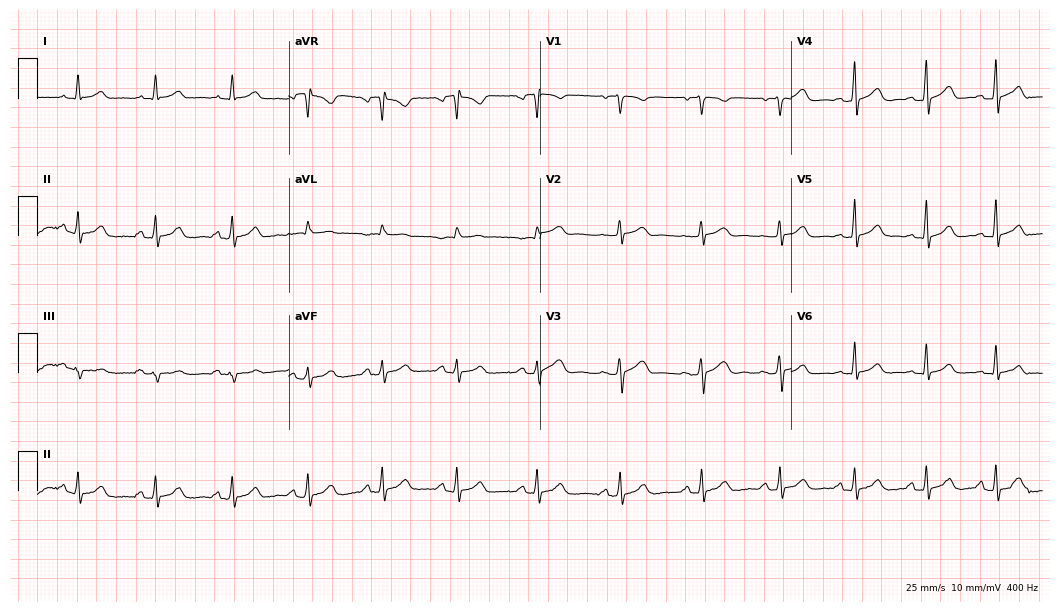
12-lead ECG from a 46-year-old female (10.2-second recording at 400 Hz). Recorded interpretation: within normal limits.